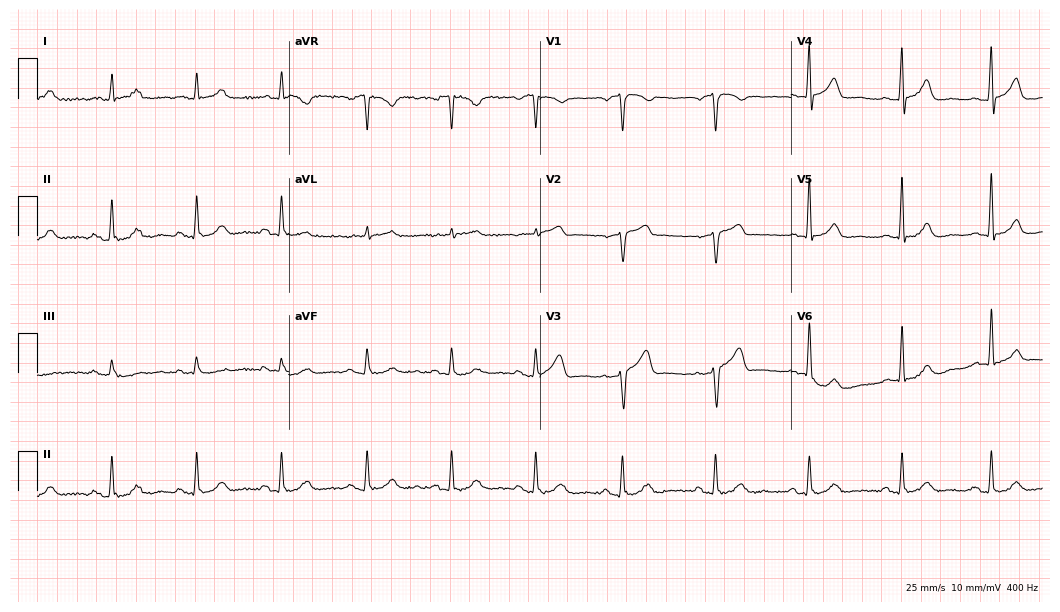
12-lead ECG (10.2-second recording at 400 Hz) from a male patient, 58 years old. Labelled as a normal ECG.